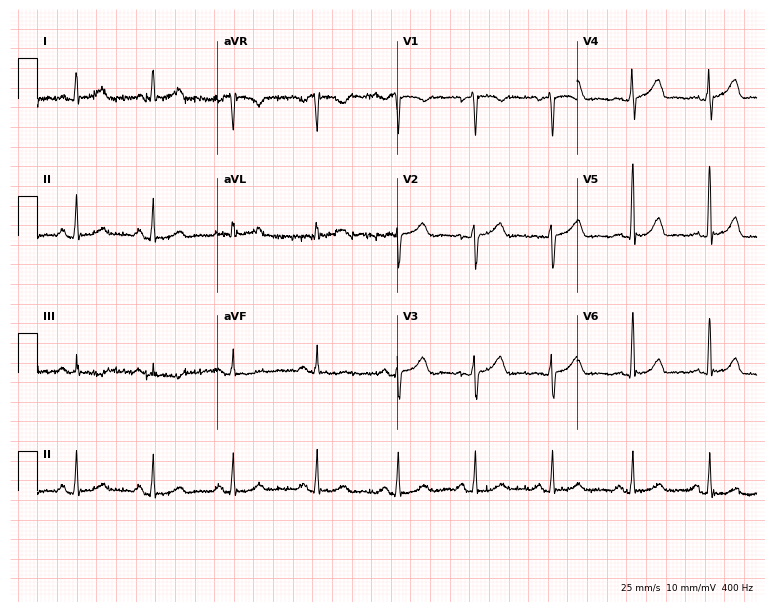
12-lead ECG (7.3-second recording at 400 Hz) from a female patient, 47 years old. Labelled as a normal ECG.